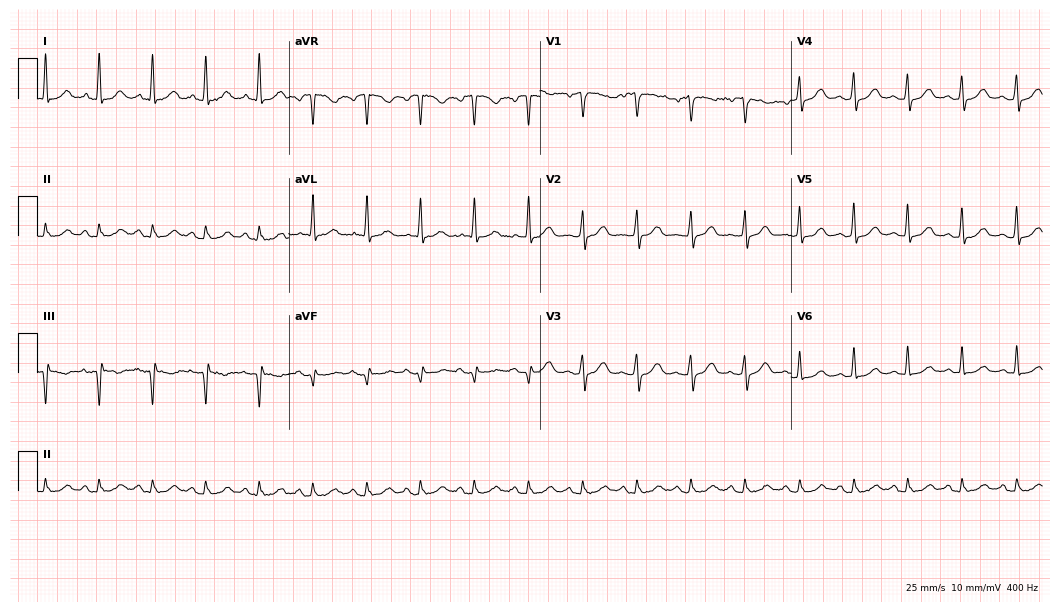
Electrocardiogram, a woman, 81 years old. Of the six screened findings (first-degree AV block, right bundle branch block, left bundle branch block, sinus bradycardia, atrial fibrillation, sinus tachycardia), none is recorded.